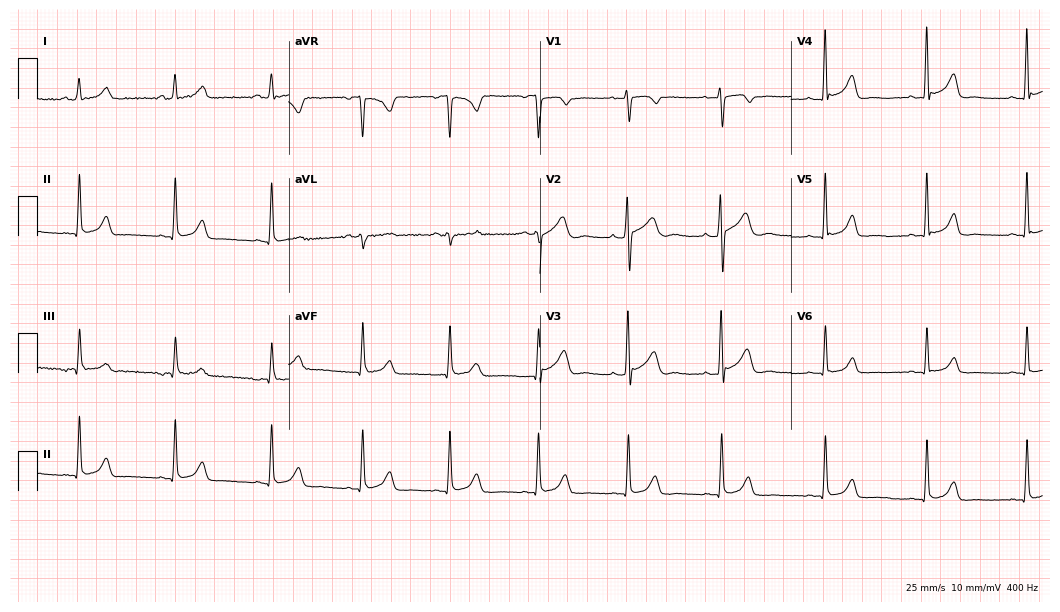
Resting 12-lead electrocardiogram (10.2-second recording at 400 Hz). Patient: a 32-year-old female. None of these six findings is recorded: first-degree AV block, right bundle branch block, left bundle branch block, sinus bradycardia, atrial fibrillation, sinus tachycardia.